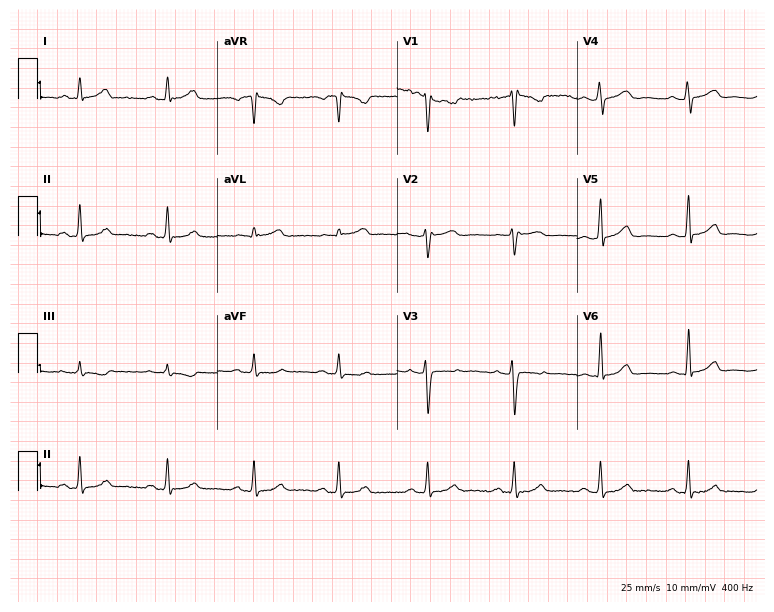
ECG (7.3-second recording at 400 Hz) — a female patient, 33 years old. Labelled as a normal ECG.